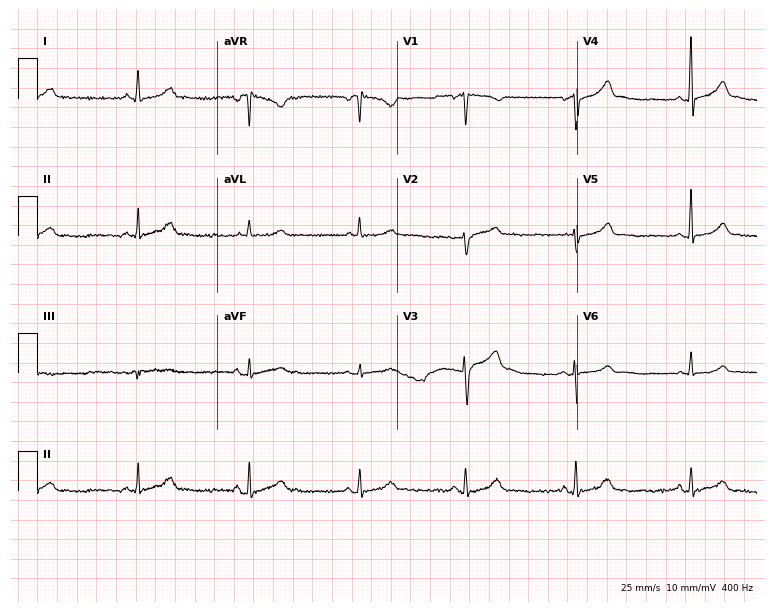
Standard 12-lead ECG recorded from a woman, 52 years old. Read as a normal ECG.